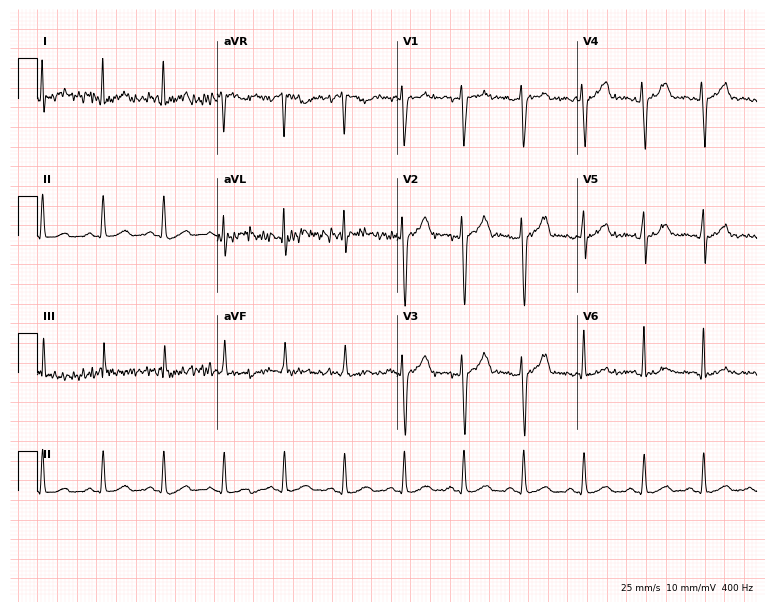
Resting 12-lead electrocardiogram. Patient: a 30-year-old male. None of these six findings is recorded: first-degree AV block, right bundle branch block, left bundle branch block, sinus bradycardia, atrial fibrillation, sinus tachycardia.